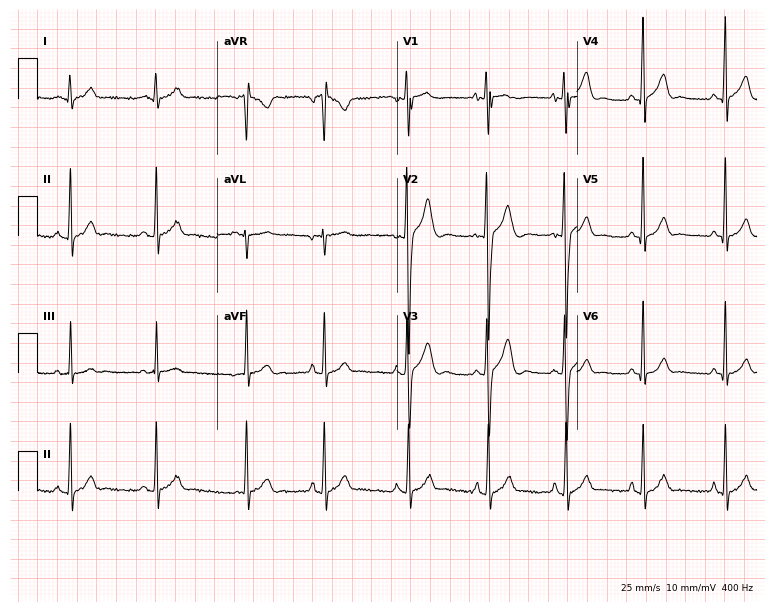
Electrocardiogram, a 20-year-old male. Of the six screened findings (first-degree AV block, right bundle branch block, left bundle branch block, sinus bradycardia, atrial fibrillation, sinus tachycardia), none is recorded.